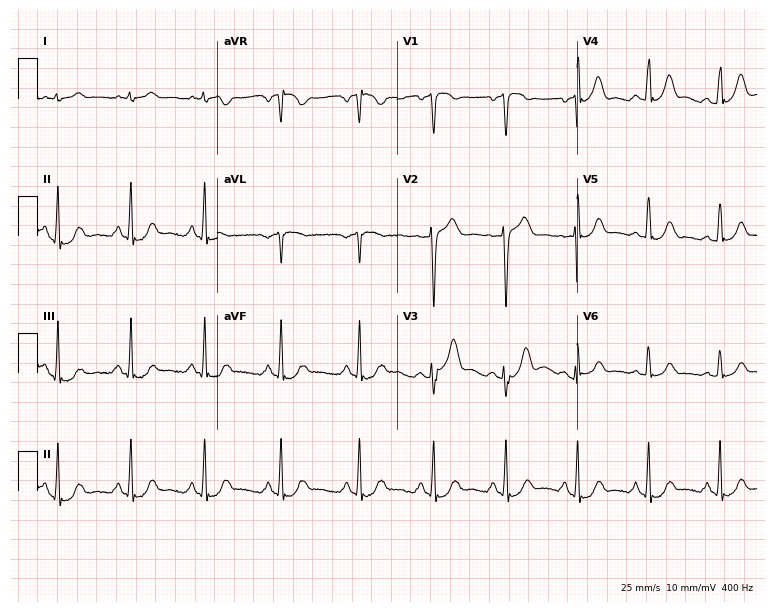
ECG — a woman, 47 years old. Labelled as a normal ECG.